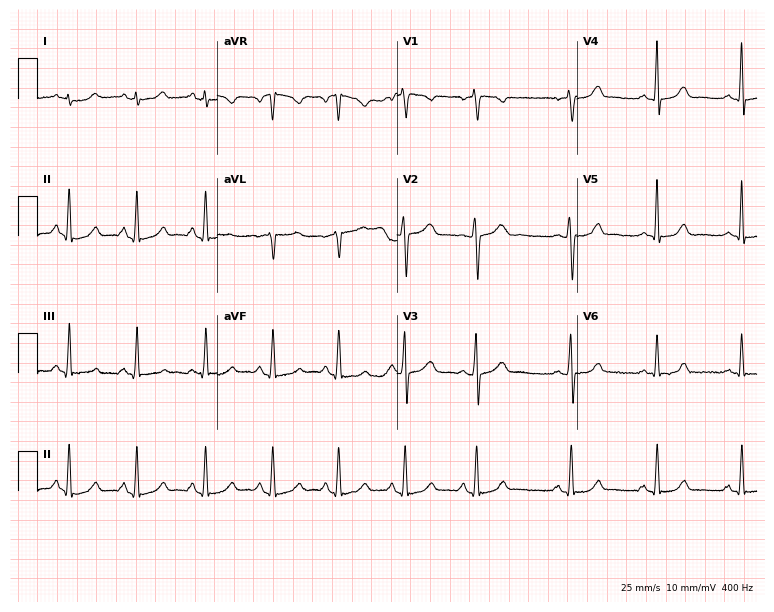
12-lead ECG from a 50-year-old female patient (7.3-second recording at 400 Hz). Recorded interpretation: within normal limits.